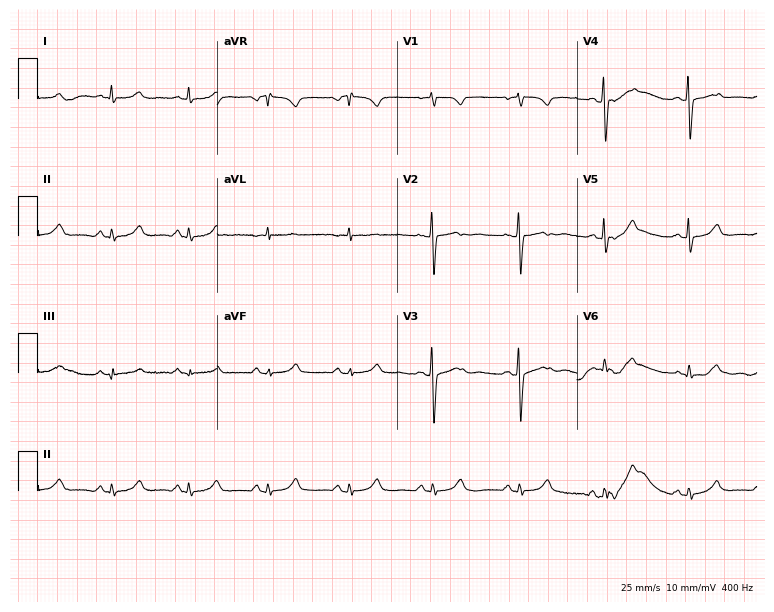
Electrocardiogram, a 39-year-old woman. Overall reading on record: normal ECG.